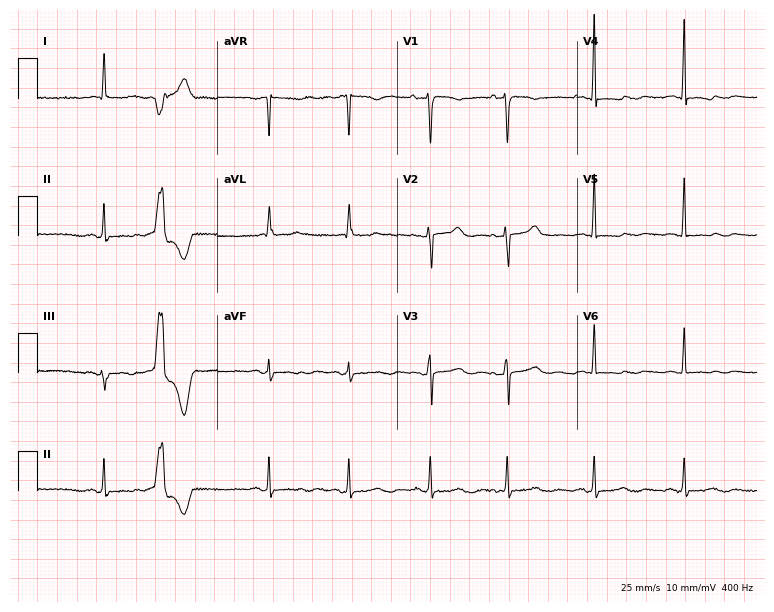
12-lead ECG from a 62-year-old female patient. Labelled as a normal ECG.